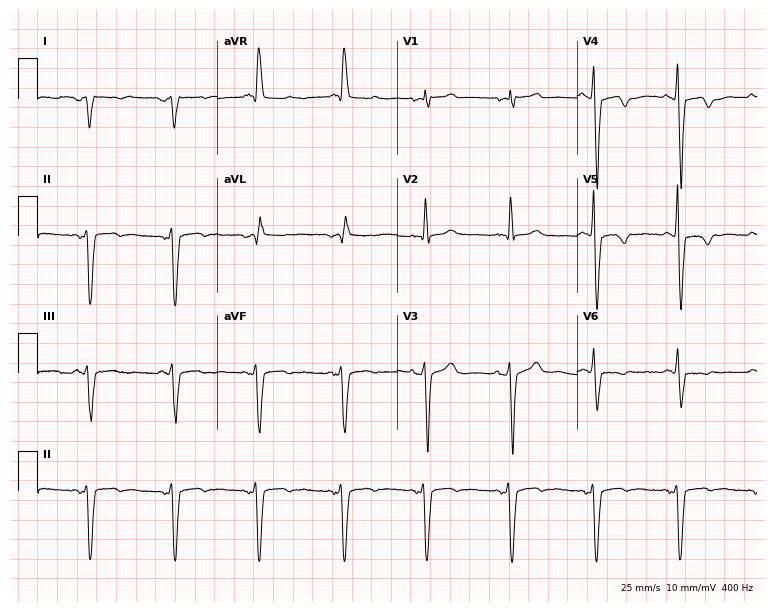
12-lead ECG from a man, 84 years old. No first-degree AV block, right bundle branch block, left bundle branch block, sinus bradycardia, atrial fibrillation or sinus tachycardia recorded for this tracing. Only these six findings were labelled.